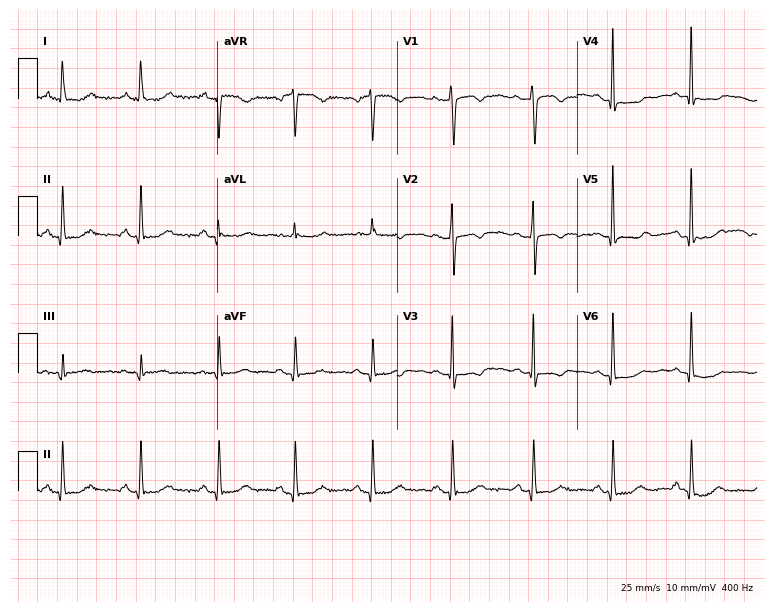
Standard 12-lead ECG recorded from a 49-year-old female patient (7.3-second recording at 400 Hz). None of these six findings is recorded: first-degree AV block, right bundle branch block, left bundle branch block, sinus bradycardia, atrial fibrillation, sinus tachycardia. Findings outside these six are not listed.